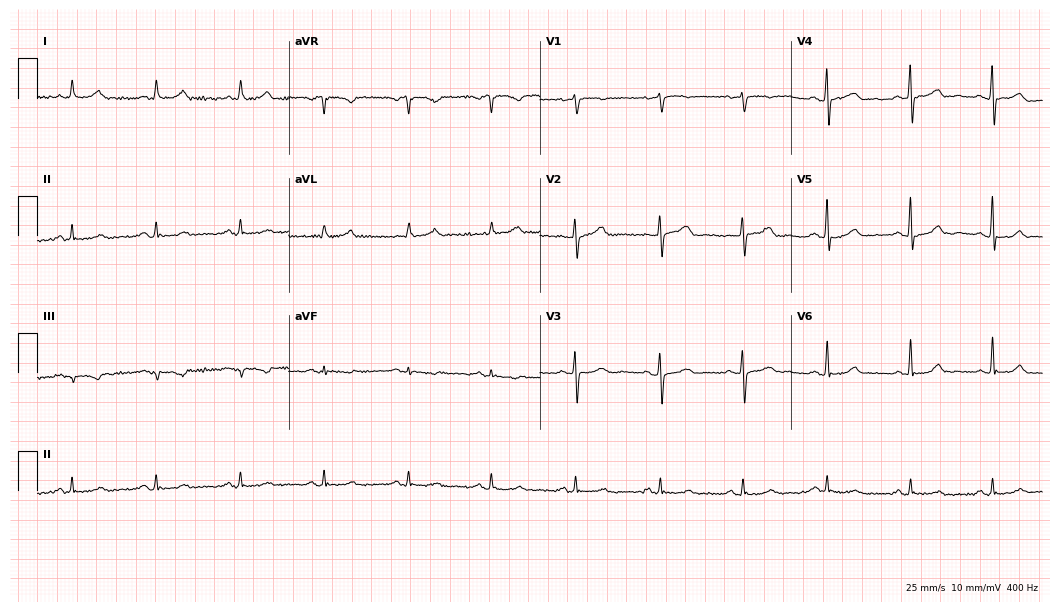
Electrocardiogram (10.2-second recording at 400 Hz), a 62-year-old female patient. Overall reading on record: normal ECG.